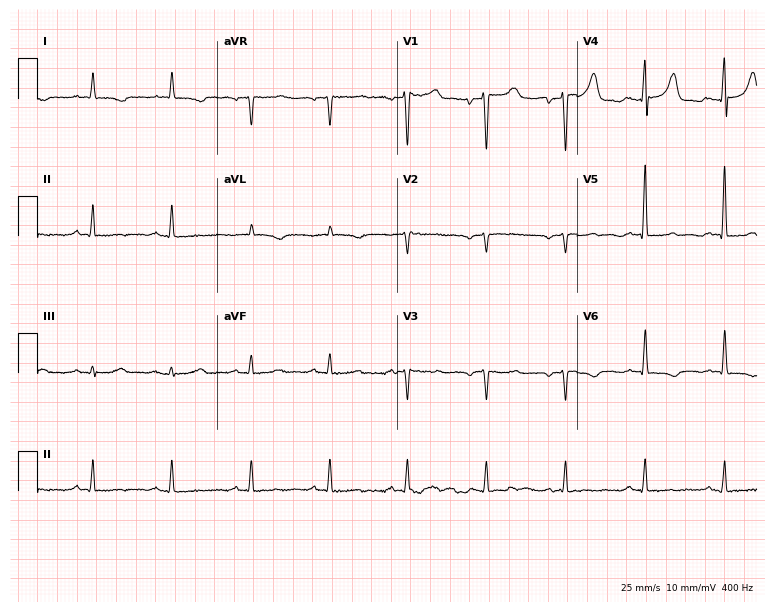
12-lead ECG from a 41-year-old woman. Labelled as a normal ECG.